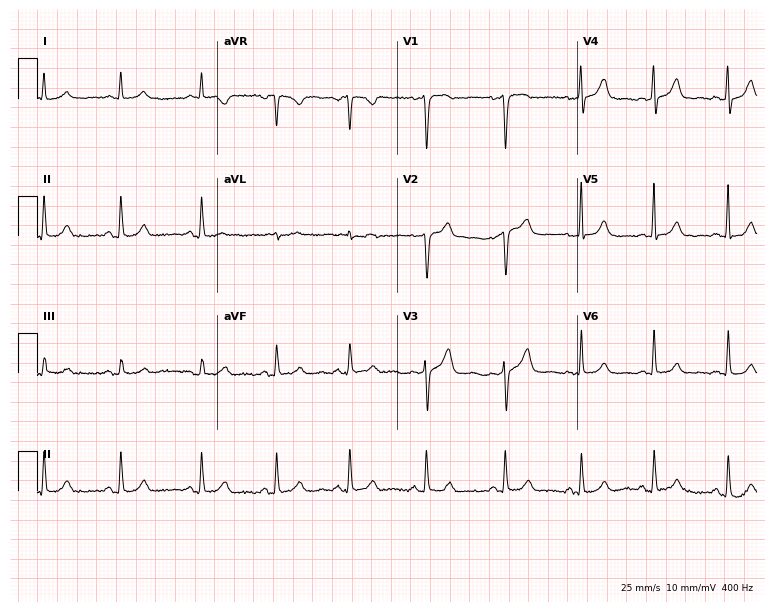
ECG (7.3-second recording at 400 Hz) — a woman, 37 years old. Screened for six findings — first-degree AV block, right bundle branch block (RBBB), left bundle branch block (LBBB), sinus bradycardia, atrial fibrillation (AF), sinus tachycardia — none is recorded. Findings outside these six are not listed.